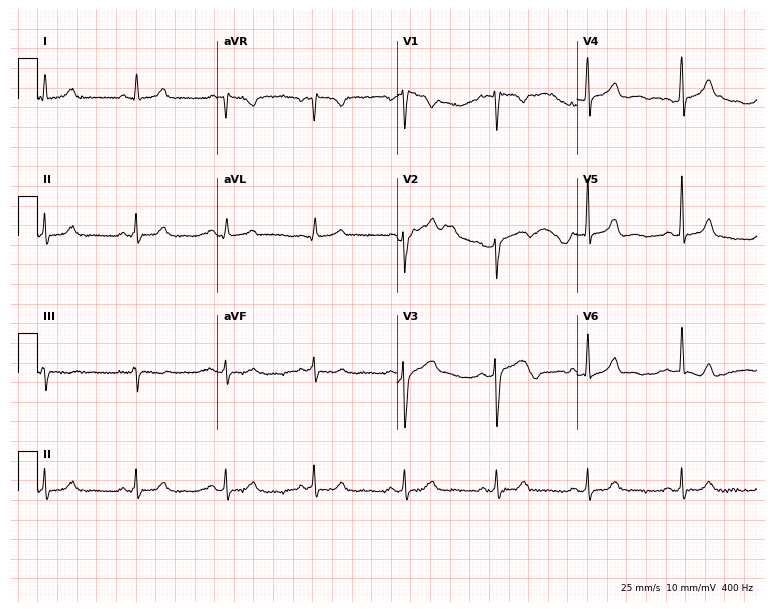
ECG (7.3-second recording at 400 Hz) — a 43-year-old woman. Labelled as a normal ECG.